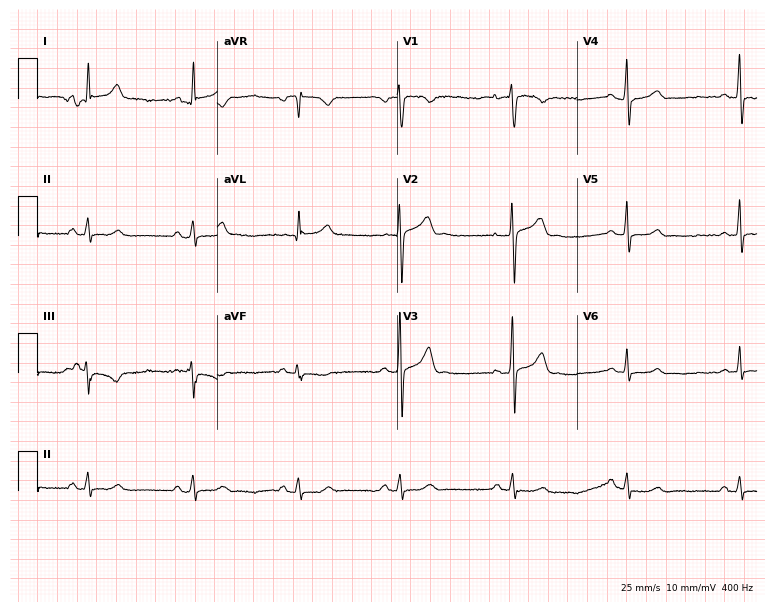
Standard 12-lead ECG recorded from a 53-year-old male (7.3-second recording at 400 Hz). Read as a normal ECG.